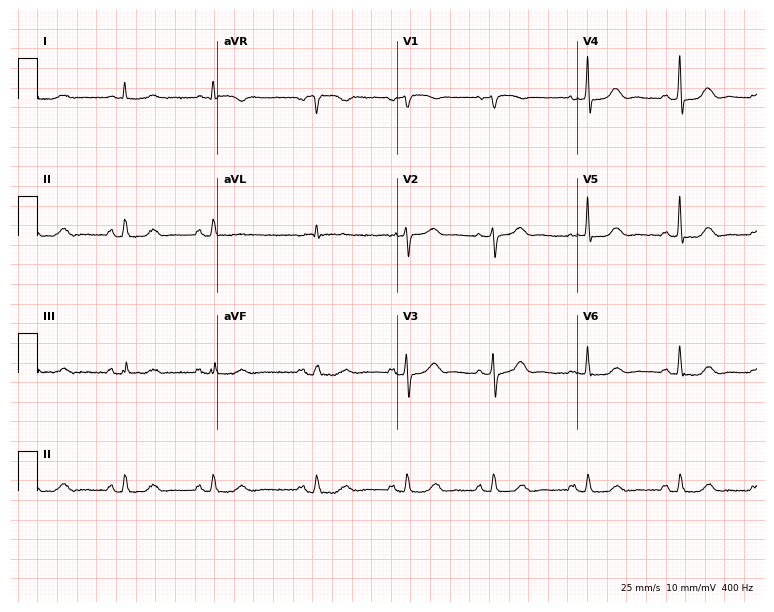
Electrocardiogram, a woman, 75 years old. Overall reading on record: normal ECG.